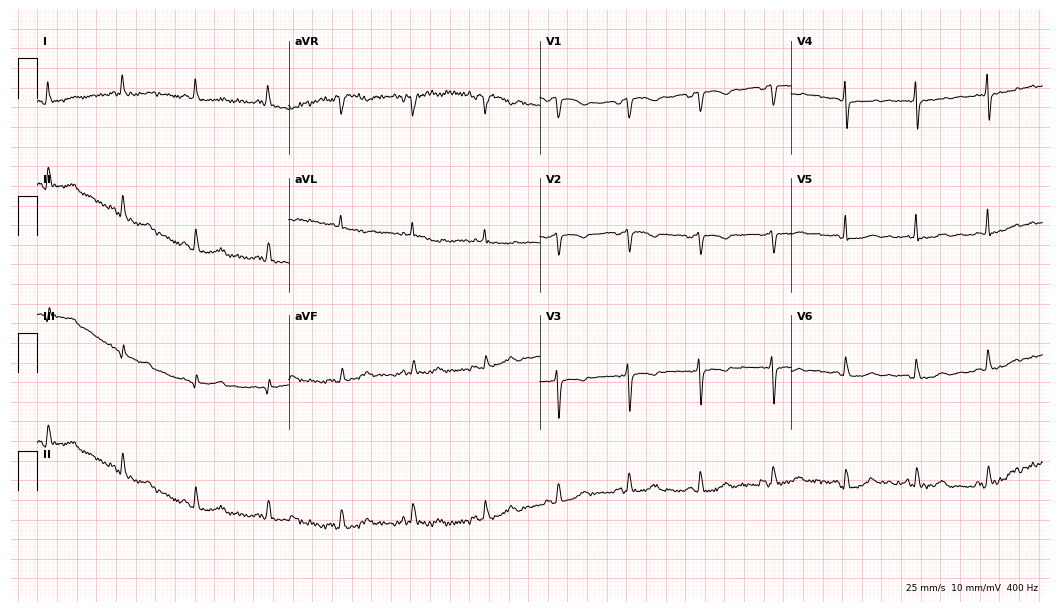
12-lead ECG from a 67-year-old female (10.2-second recording at 400 Hz). Recorded interpretation: within normal limits.